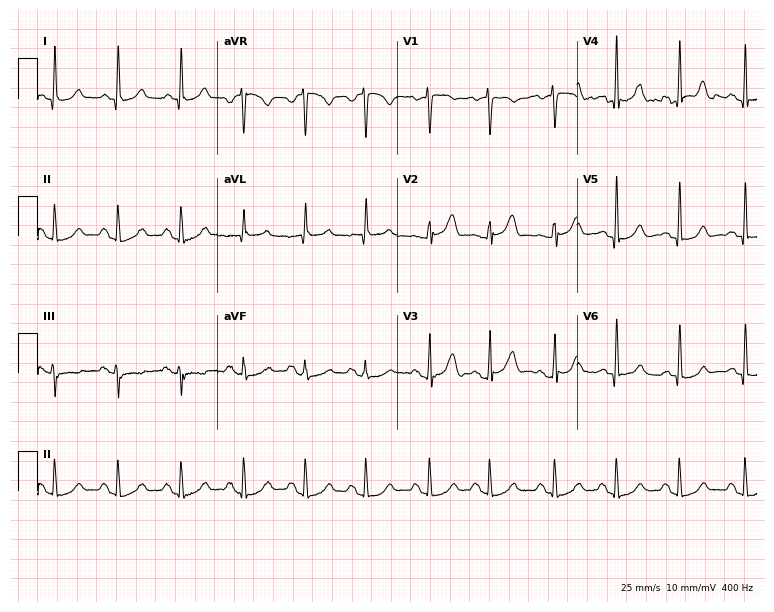
ECG — a female patient, 56 years old. Labelled as a normal ECG.